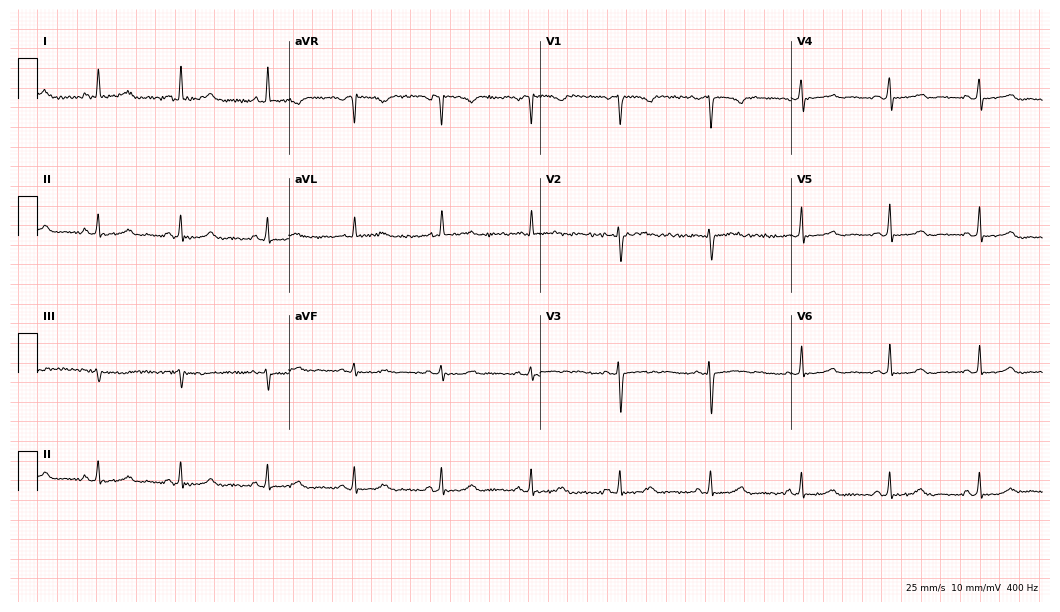
12-lead ECG from a woman, 55 years old. Labelled as a normal ECG.